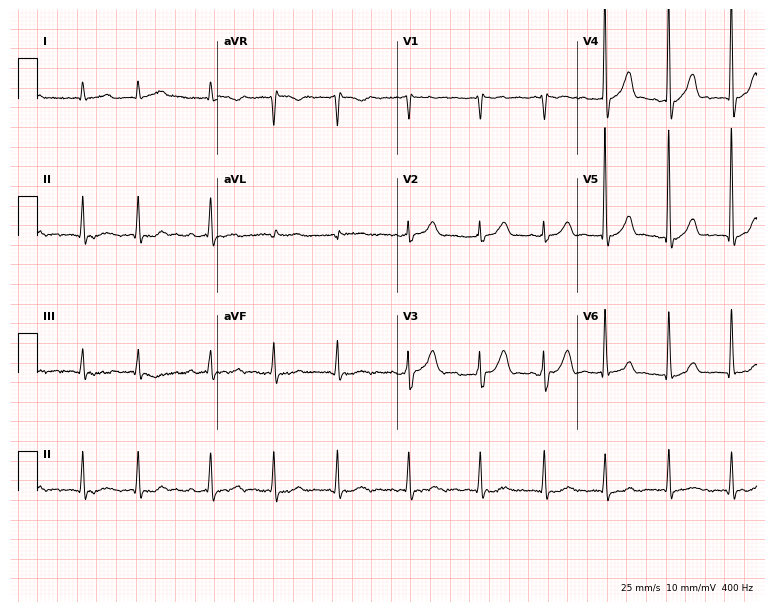
ECG — a man, 74 years old. Findings include atrial fibrillation (AF).